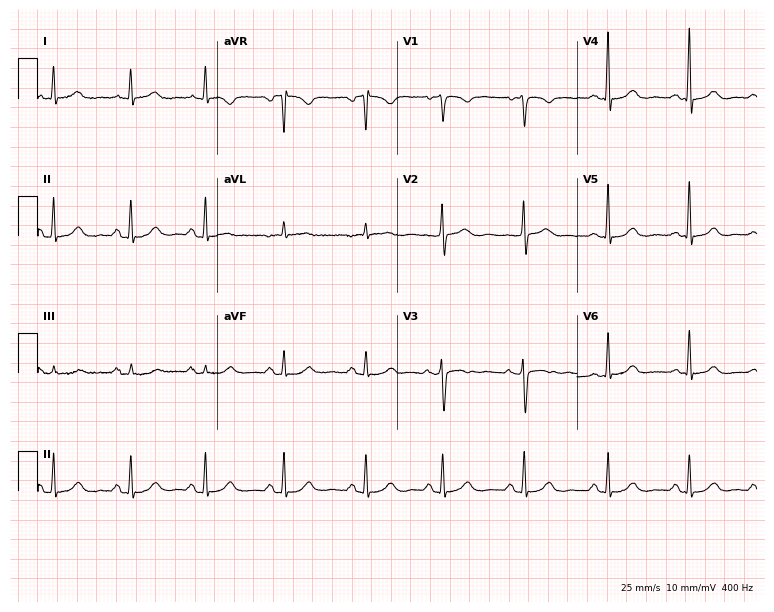
12-lead ECG from a 58-year-old woman. Labelled as a normal ECG.